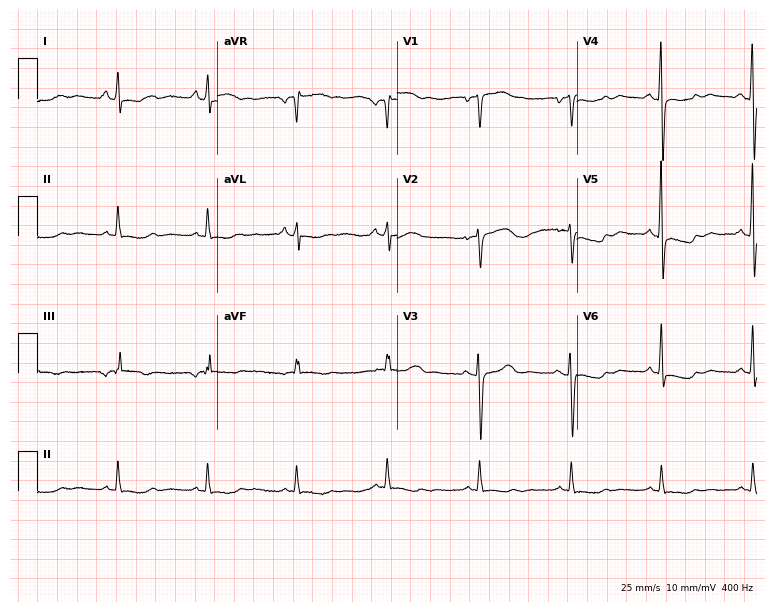
Resting 12-lead electrocardiogram. Patient: a 65-year-old female. None of these six findings is recorded: first-degree AV block, right bundle branch block, left bundle branch block, sinus bradycardia, atrial fibrillation, sinus tachycardia.